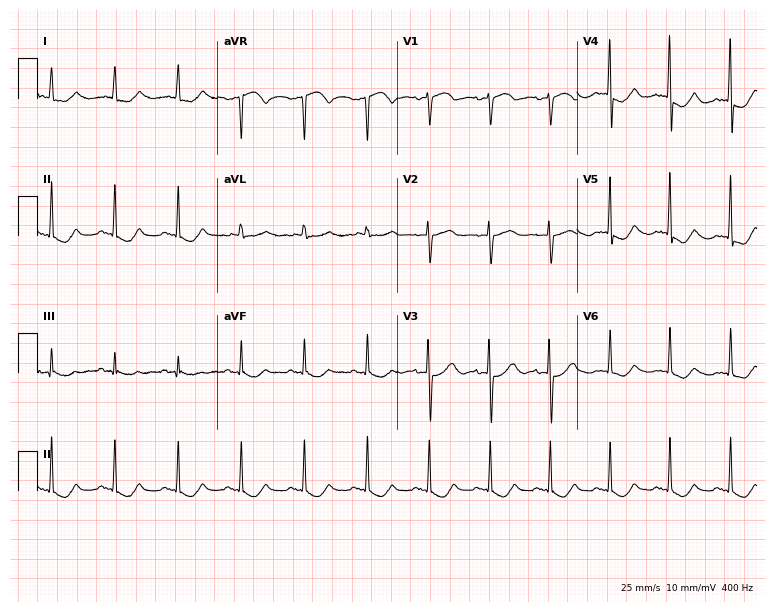
12-lead ECG from a 70-year-old female patient. Screened for six findings — first-degree AV block, right bundle branch block, left bundle branch block, sinus bradycardia, atrial fibrillation, sinus tachycardia — none is recorded. Findings outside these six are not listed.